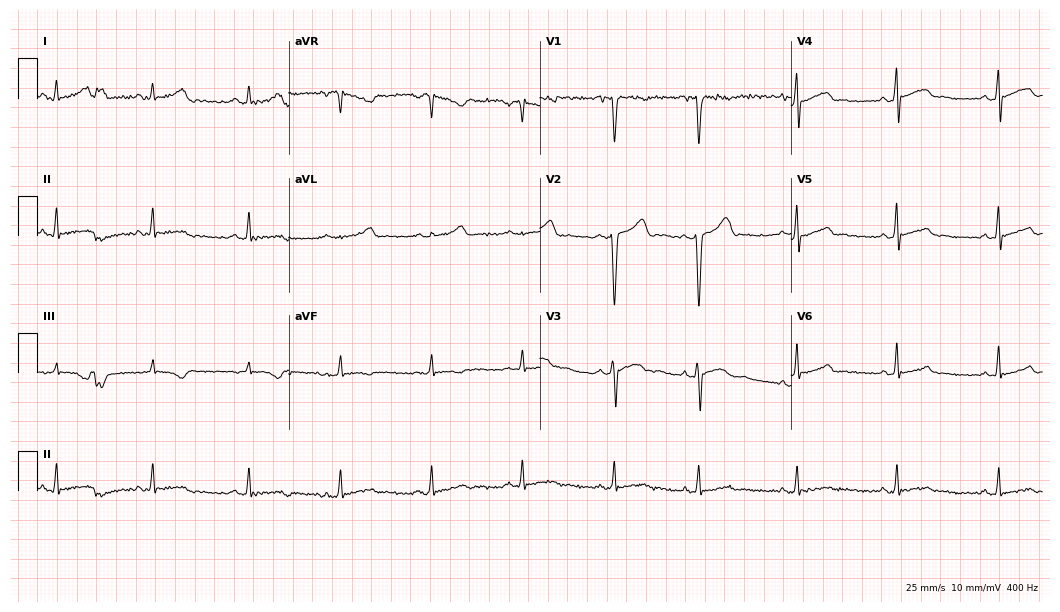
12-lead ECG from a man, 28 years old (10.2-second recording at 400 Hz). No first-degree AV block, right bundle branch block (RBBB), left bundle branch block (LBBB), sinus bradycardia, atrial fibrillation (AF) or sinus tachycardia recorded for this tracing.